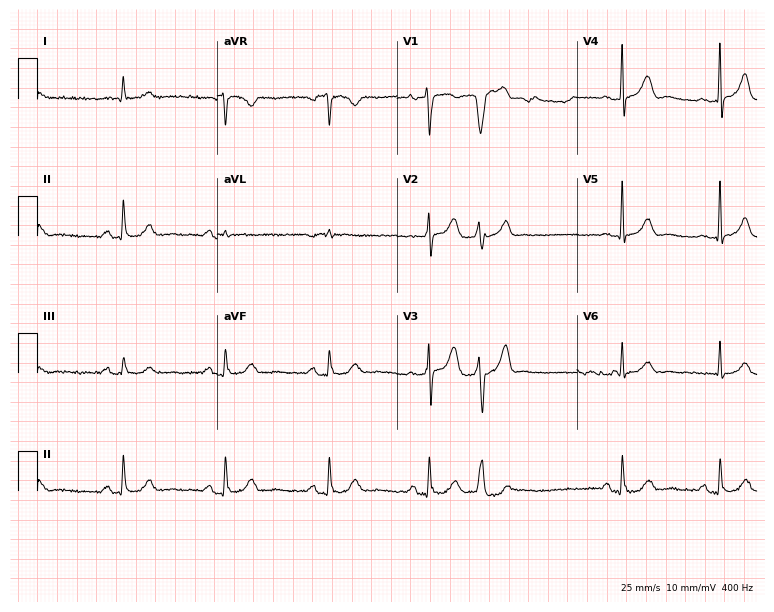
ECG — a male patient, 85 years old. Labelled as a normal ECG.